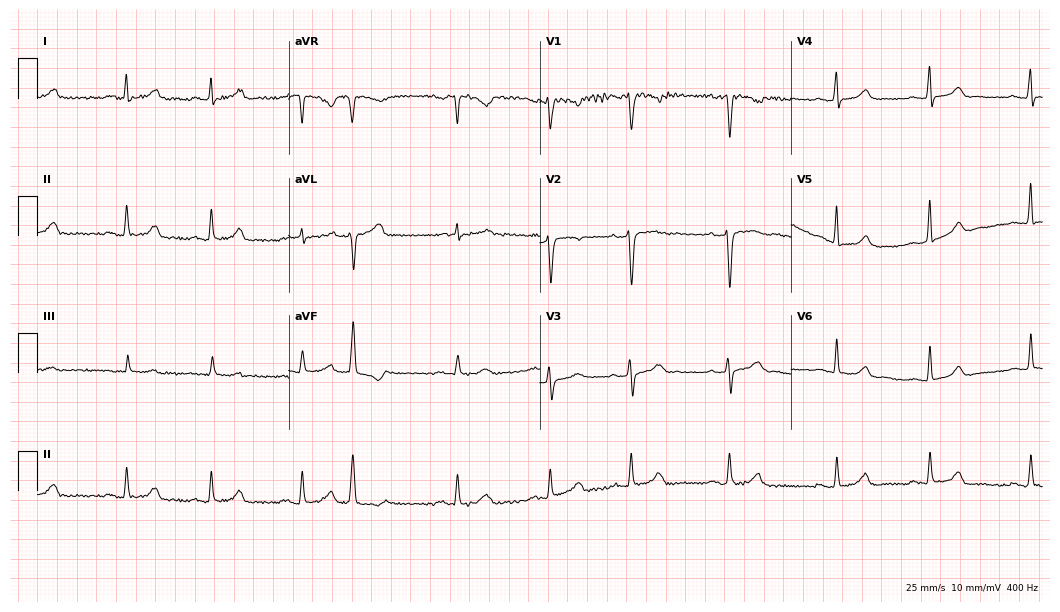
ECG — a 28-year-old female. Screened for six findings — first-degree AV block, right bundle branch block, left bundle branch block, sinus bradycardia, atrial fibrillation, sinus tachycardia — none is recorded.